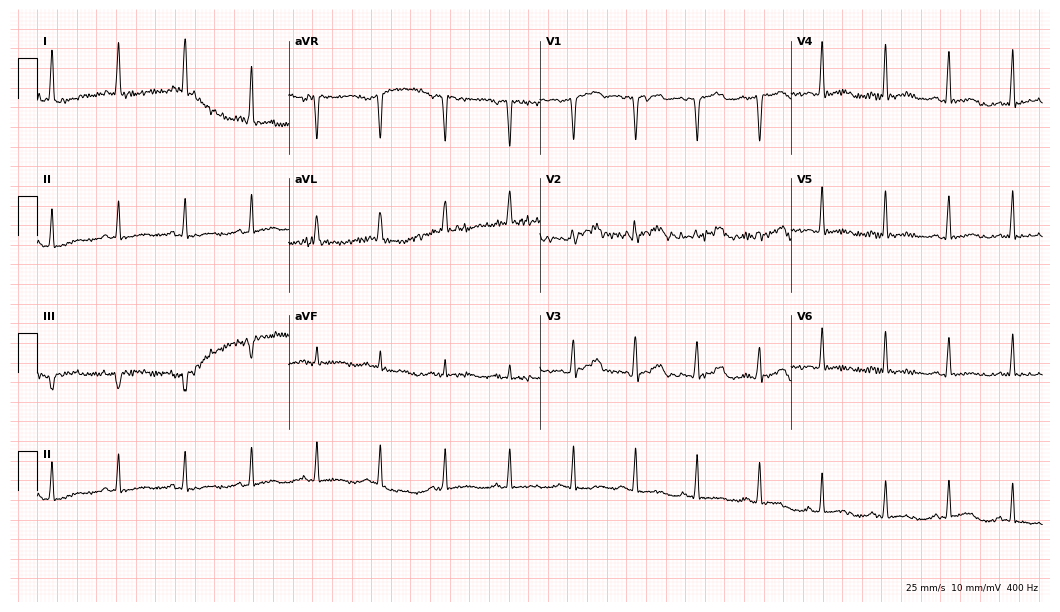
Electrocardiogram, a woman, 42 years old. Of the six screened findings (first-degree AV block, right bundle branch block, left bundle branch block, sinus bradycardia, atrial fibrillation, sinus tachycardia), none is recorded.